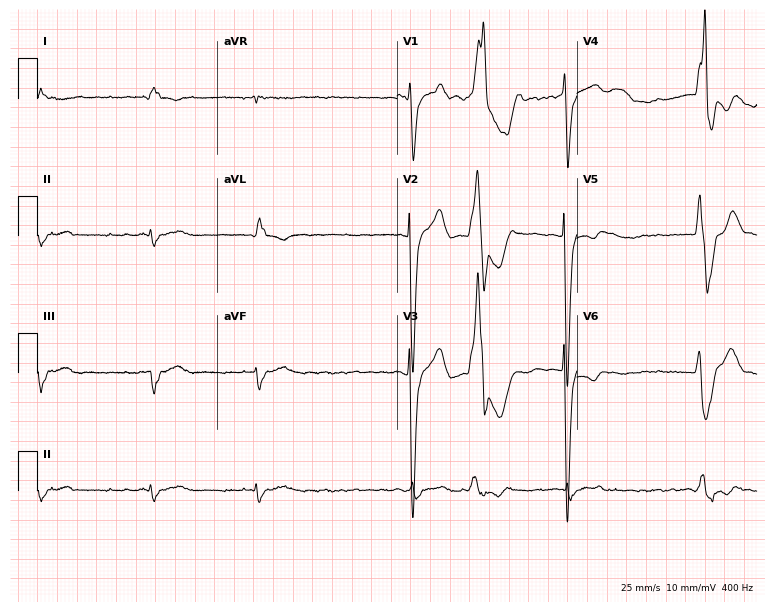
Electrocardiogram, a 58-year-old male. Interpretation includes atrial fibrillation (AF).